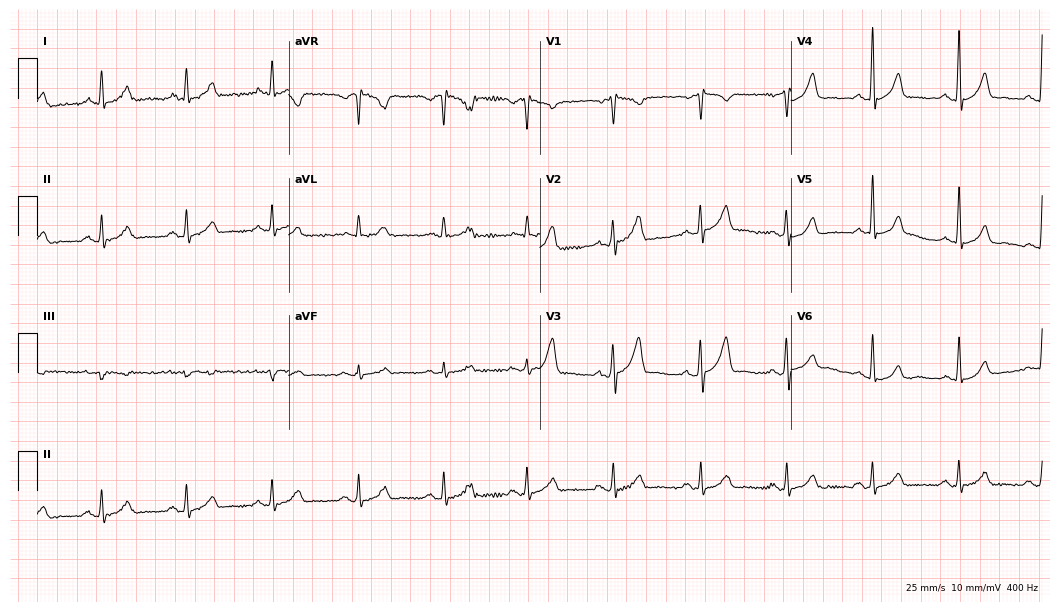
Standard 12-lead ECG recorded from a man, 39 years old. Read as a normal ECG.